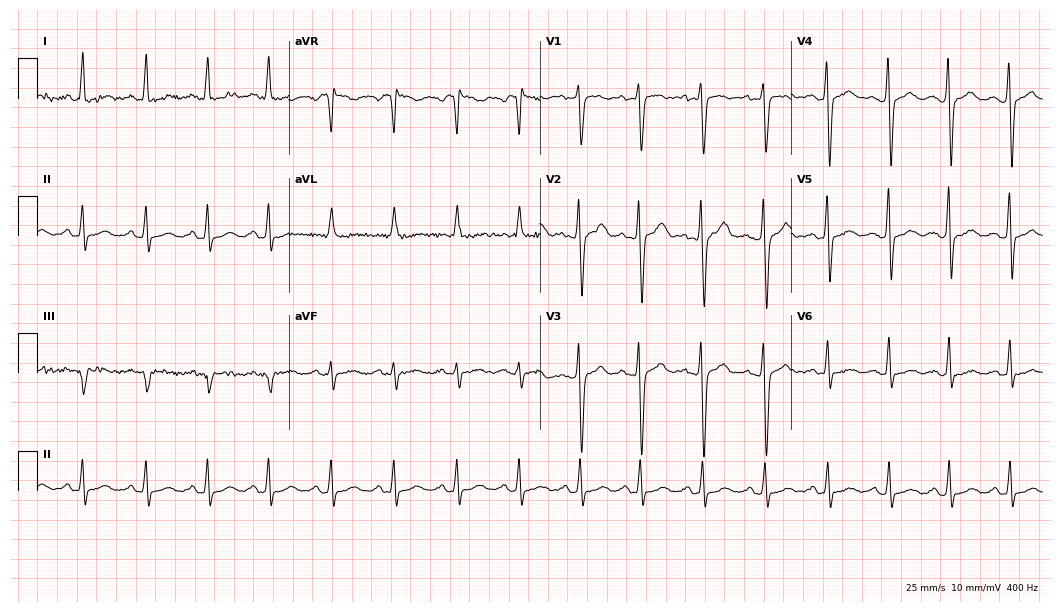
12-lead ECG from a female patient, 29 years old. Labelled as a normal ECG.